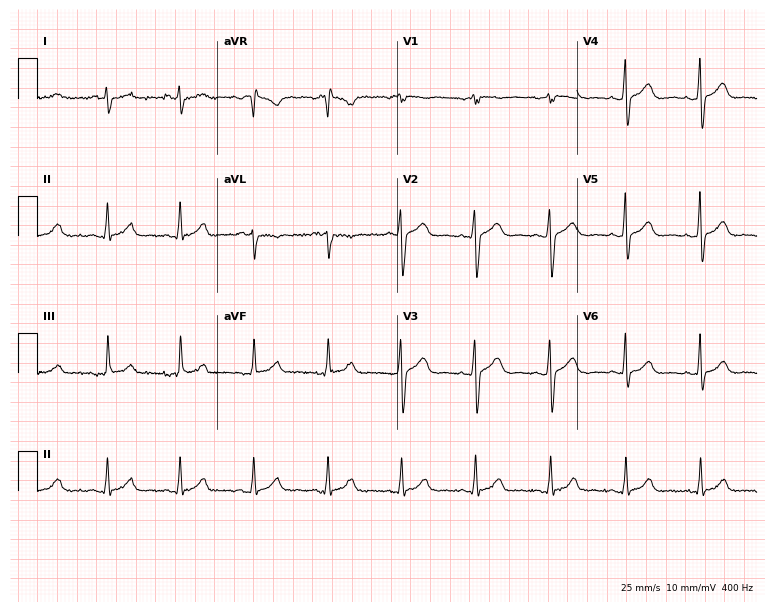
Standard 12-lead ECG recorded from a man, 56 years old (7.3-second recording at 400 Hz). None of these six findings is recorded: first-degree AV block, right bundle branch block (RBBB), left bundle branch block (LBBB), sinus bradycardia, atrial fibrillation (AF), sinus tachycardia. Other findings, if any, are not listed.